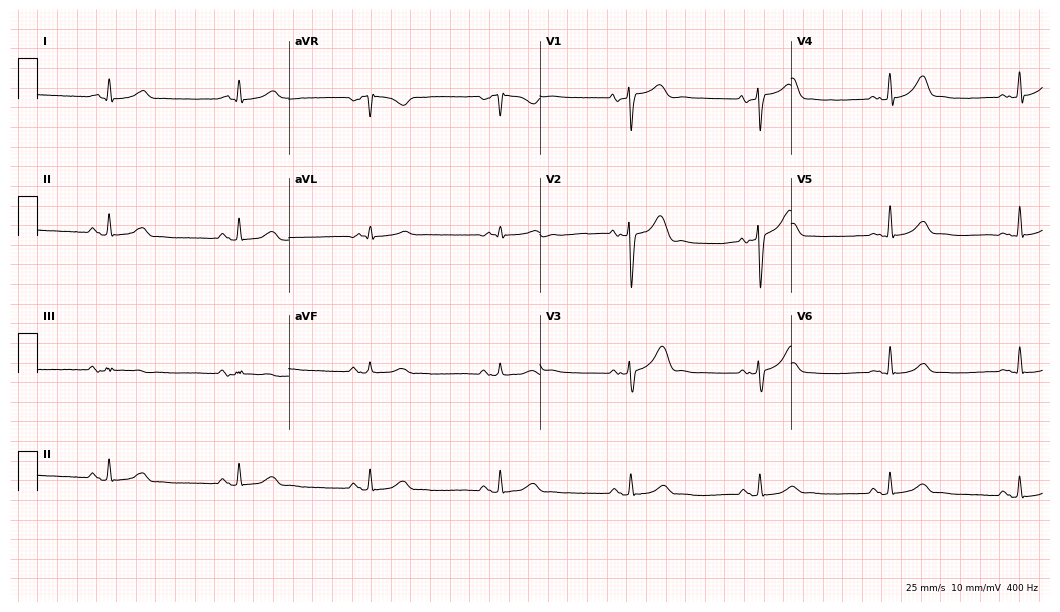
12-lead ECG from a male, 61 years old. Screened for six findings — first-degree AV block, right bundle branch block, left bundle branch block, sinus bradycardia, atrial fibrillation, sinus tachycardia — none is recorded.